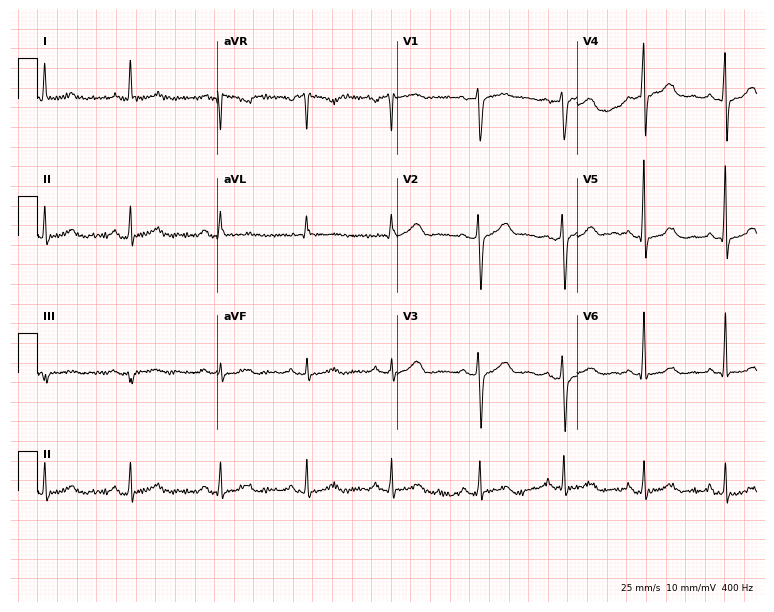
Electrocardiogram (7.3-second recording at 400 Hz), a female patient, 54 years old. Overall reading on record: normal ECG.